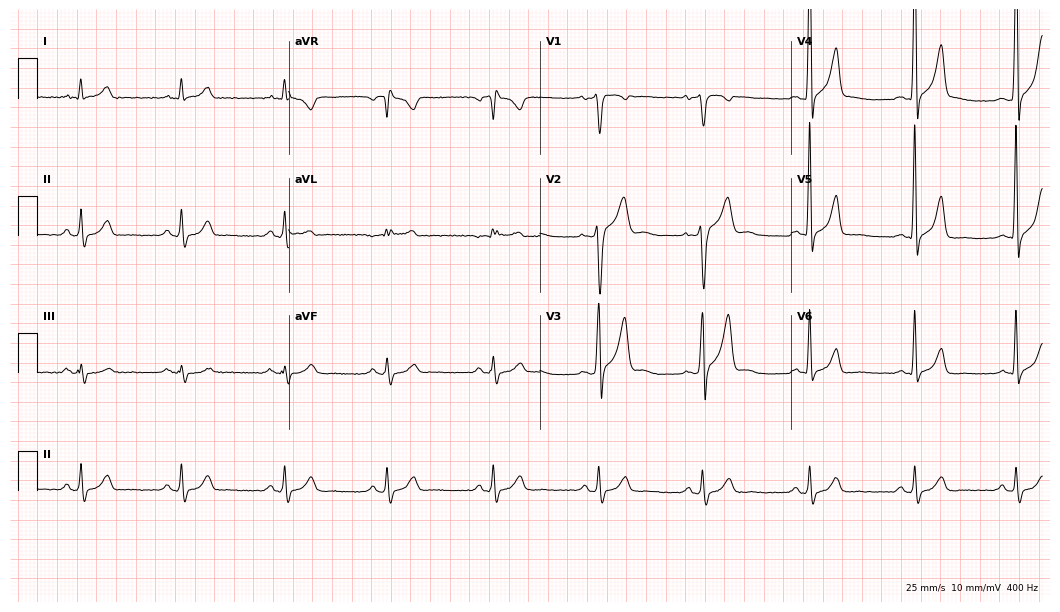
Standard 12-lead ECG recorded from a 45-year-old man. None of these six findings is recorded: first-degree AV block, right bundle branch block, left bundle branch block, sinus bradycardia, atrial fibrillation, sinus tachycardia. Findings outside these six are not listed.